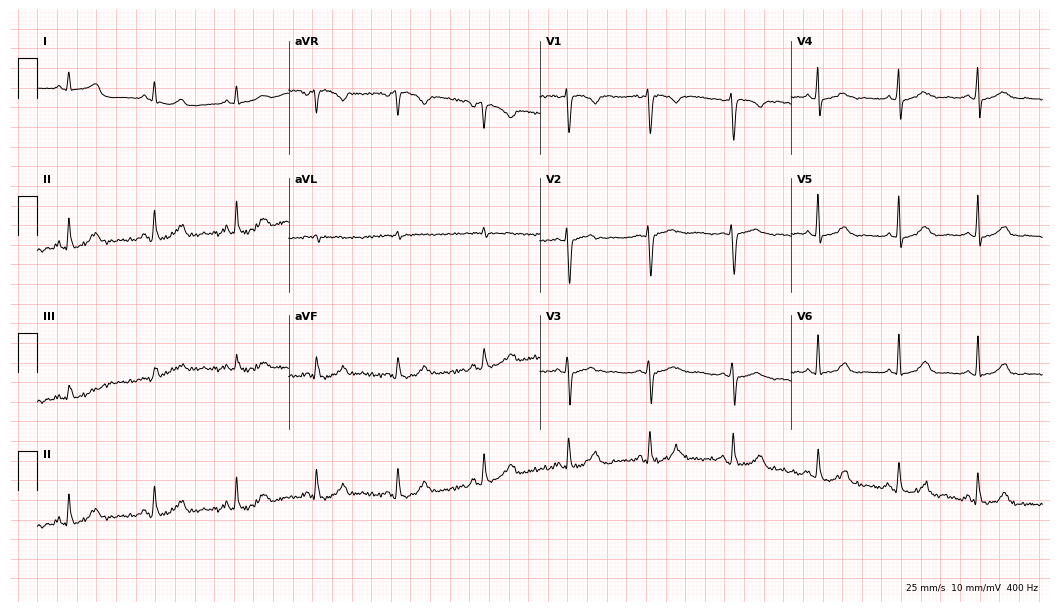
ECG — a 37-year-old female. Labelled as a normal ECG.